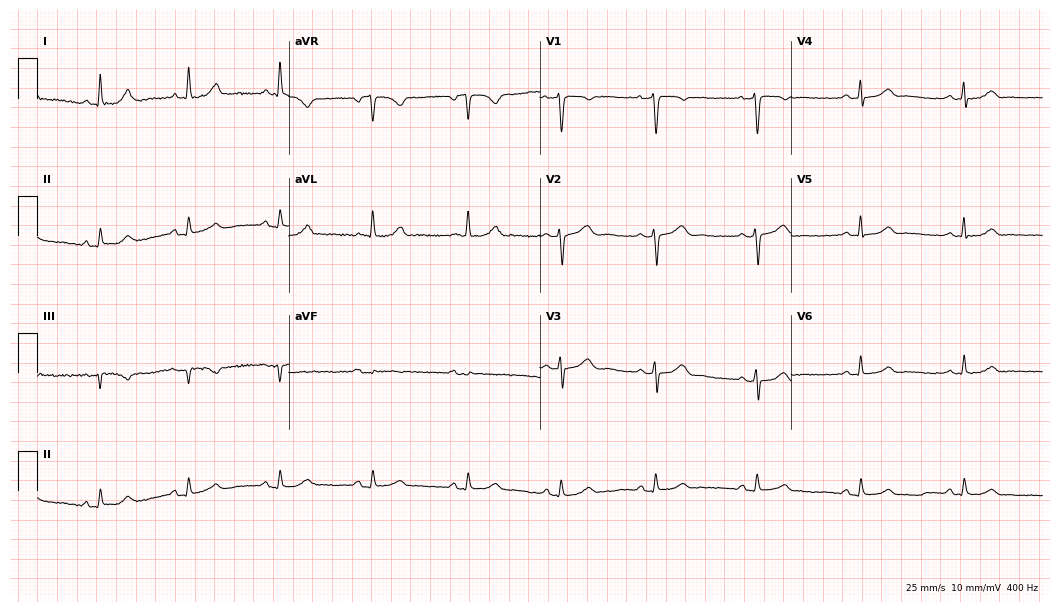
12-lead ECG from a 47-year-old female (10.2-second recording at 400 Hz). Recorded interpretation: within normal limits.